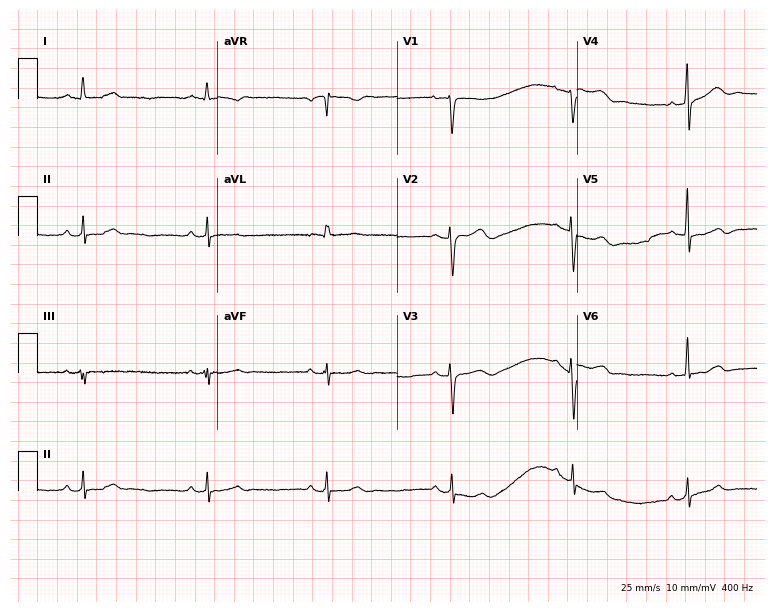
12-lead ECG (7.3-second recording at 400 Hz) from a woman, 45 years old. Screened for six findings — first-degree AV block, right bundle branch block (RBBB), left bundle branch block (LBBB), sinus bradycardia, atrial fibrillation (AF), sinus tachycardia — none is recorded. Only these six findings were labelled.